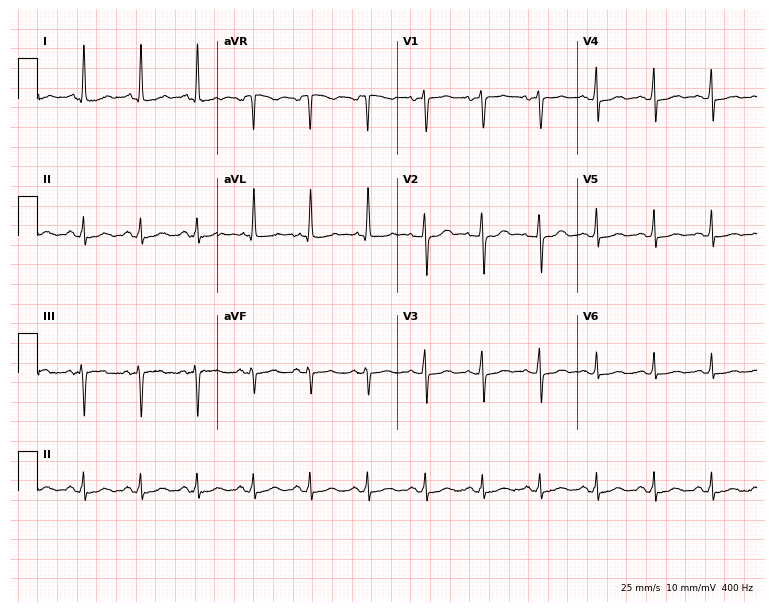
12-lead ECG (7.3-second recording at 400 Hz) from a female patient, 62 years old. Findings include sinus tachycardia (a sinus rate of 100 beats per minute or more).